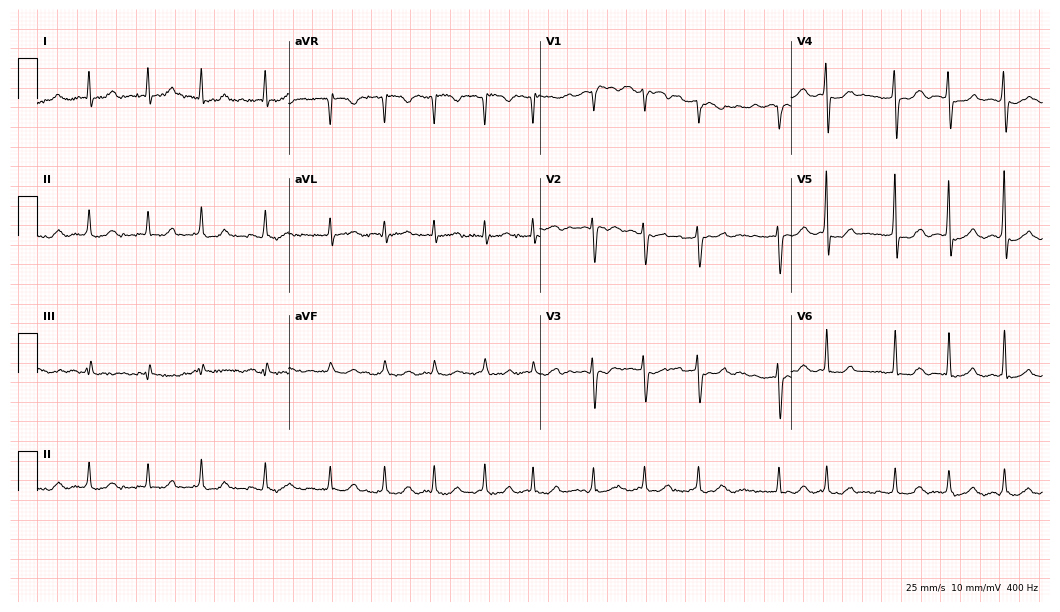
Resting 12-lead electrocardiogram (10.2-second recording at 400 Hz). Patient: a 72-year-old female. The tracing shows atrial fibrillation.